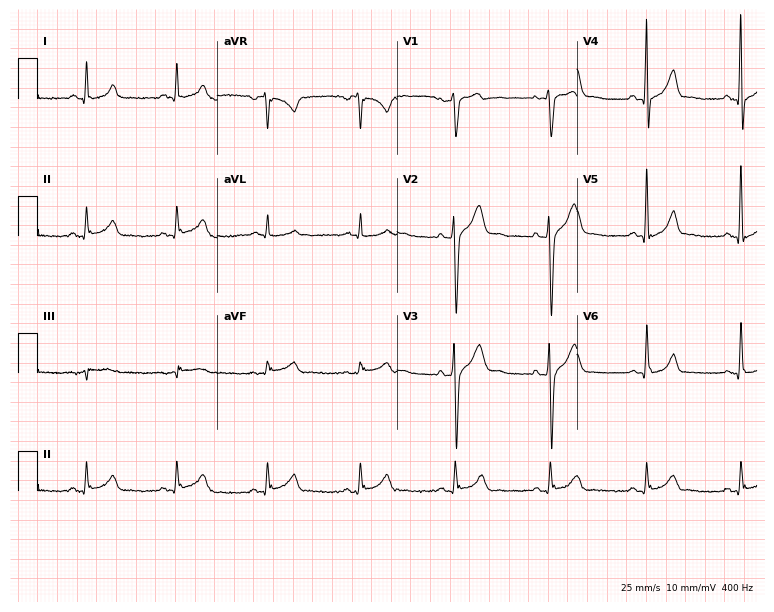
12-lead ECG from a 43-year-old male patient. Screened for six findings — first-degree AV block, right bundle branch block, left bundle branch block, sinus bradycardia, atrial fibrillation, sinus tachycardia — none is recorded. Findings outside these six are not listed.